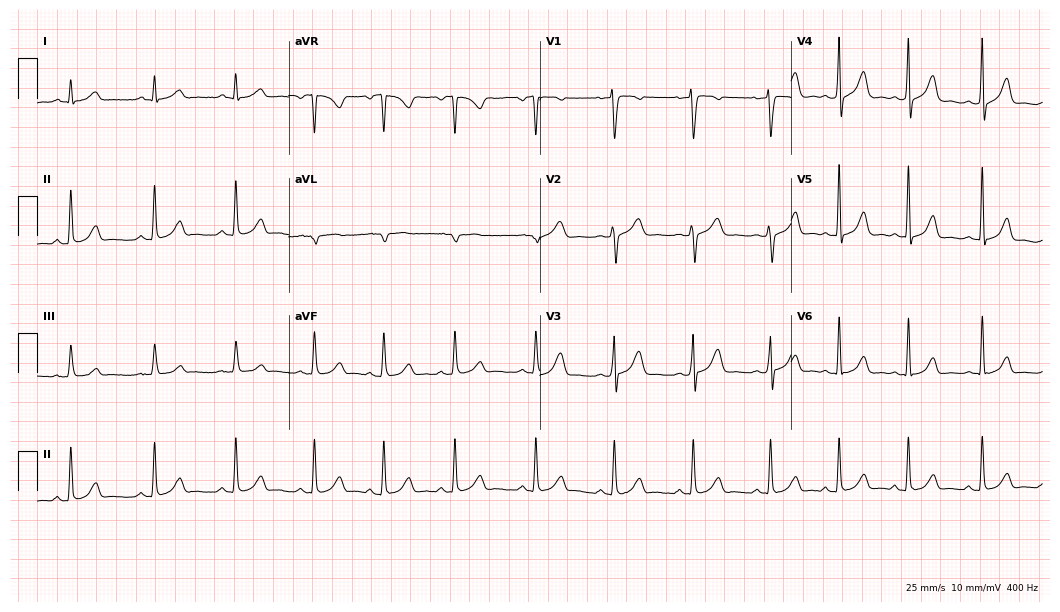
Resting 12-lead electrocardiogram. Patient: a female, 35 years old. Read as a normal ECG.